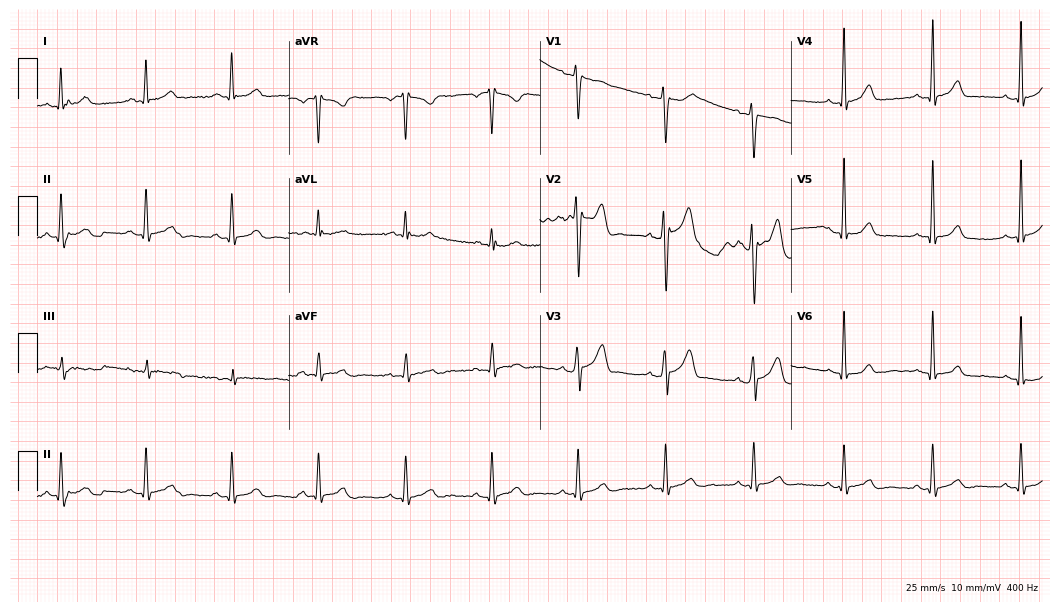
ECG (10.2-second recording at 400 Hz) — a man, 42 years old. Screened for six findings — first-degree AV block, right bundle branch block (RBBB), left bundle branch block (LBBB), sinus bradycardia, atrial fibrillation (AF), sinus tachycardia — none is recorded.